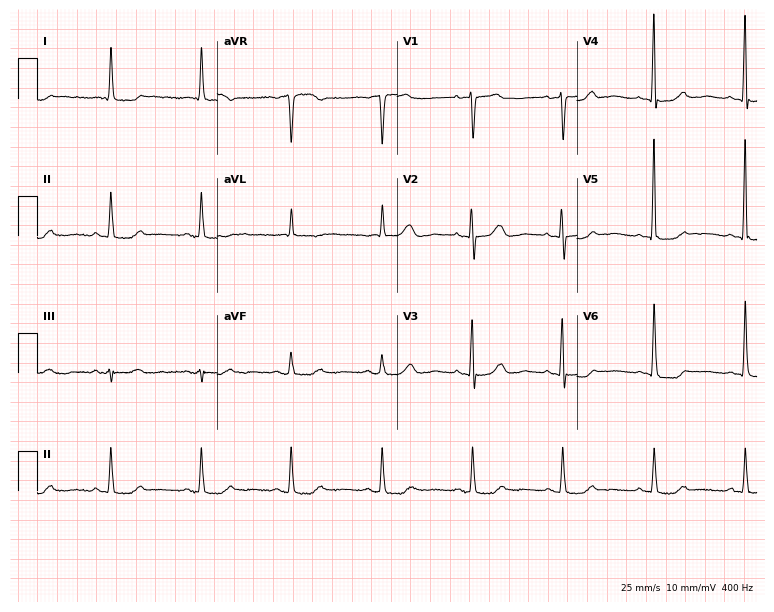
12-lead ECG (7.3-second recording at 400 Hz) from a female, 81 years old. Screened for six findings — first-degree AV block, right bundle branch block, left bundle branch block, sinus bradycardia, atrial fibrillation, sinus tachycardia — none is recorded. Only these six findings were labelled.